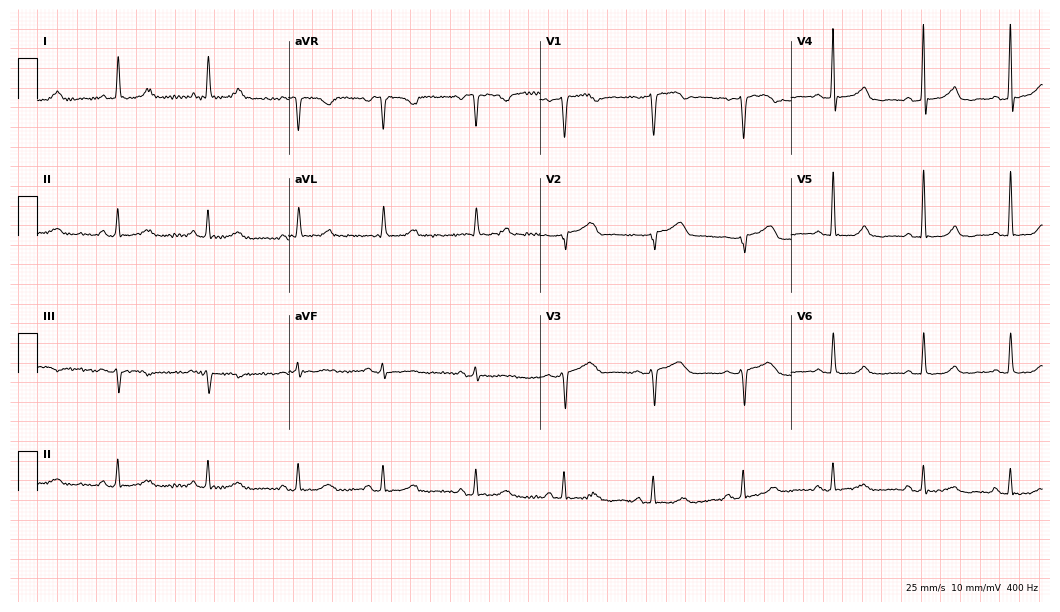
12-lead ECG from a 66-year-old female patient. Screened for six findings — first-degree AV block, right bundle branch block, left bundle branch block, sinus bradycardia, atrial fibrillation, sinus tachycardia — none is recorded. Other findings, if any, are not listed.